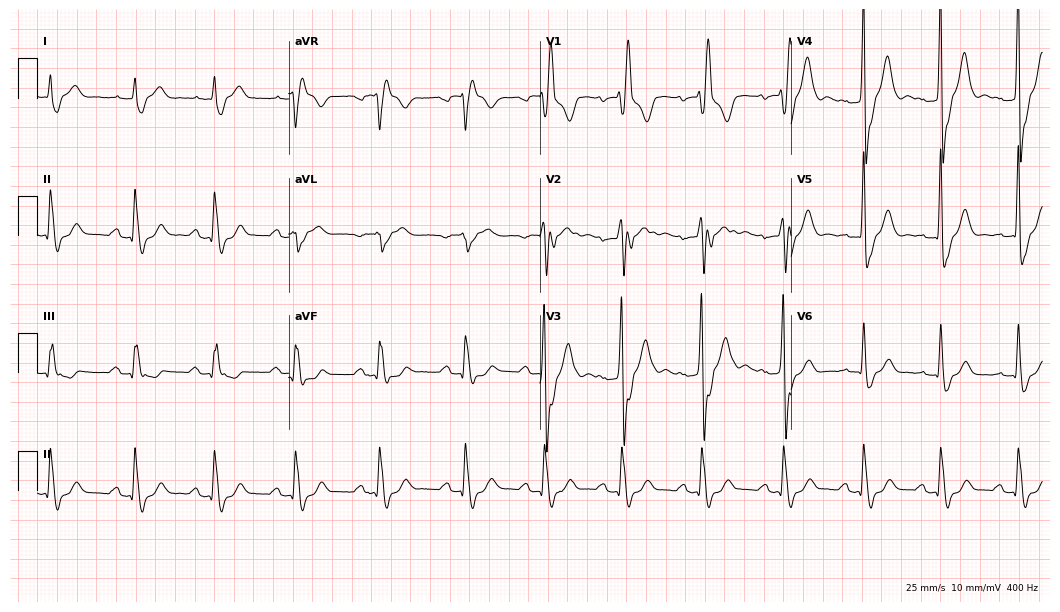
12-lead ECG (10.2-second recording at 400 Hz) from a man, 77 years old. Screened for six findings — first-degree AV block, right bundle branch block, left bundle branch block, sinus bradycardia, atrial fibrillation, sinus tachycardia — none is recorded.